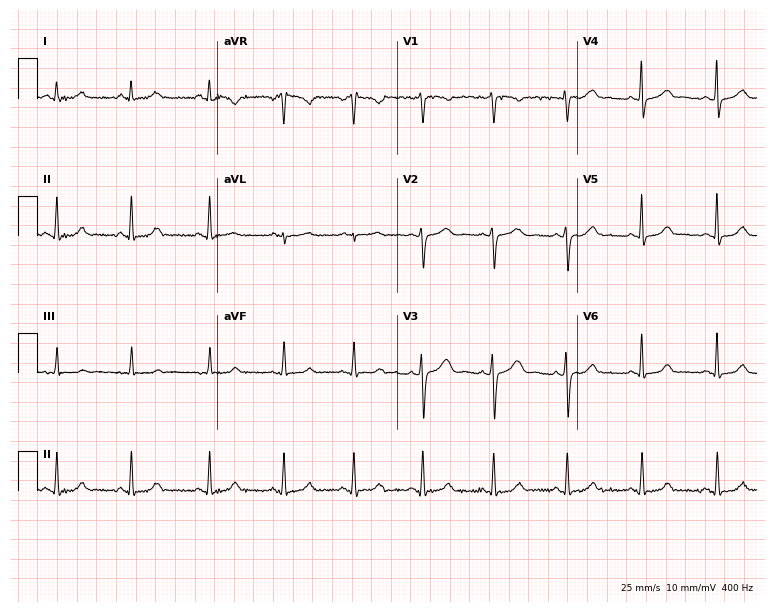
Standard 12-lead ECG recorded from a 26-year-old woman. None of these six findings is recorded: first-degree AV block, right bundle branch block, left bundle branch block, sinus bradycardia, atrial fibrillation, sinus tachycardia. Findings outside these six are not listed.